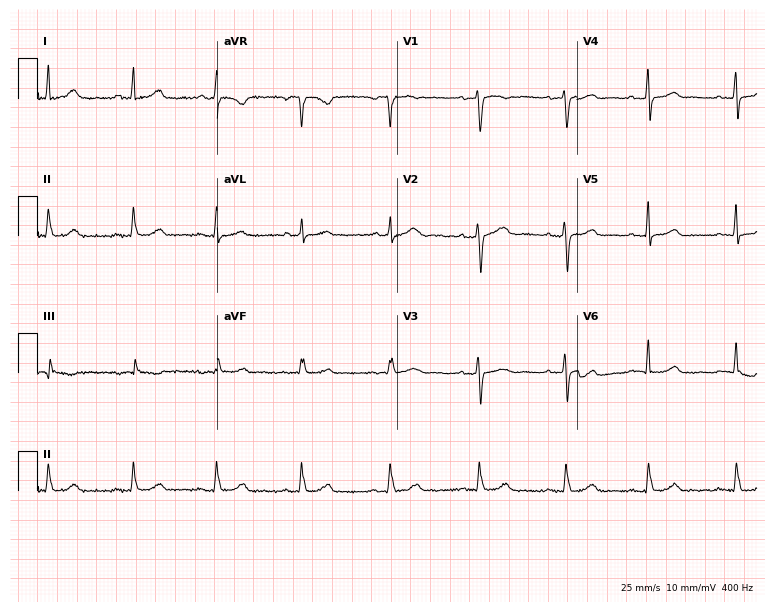
ECG — a female patient, 44 years old. Labelled as a normal ECG.